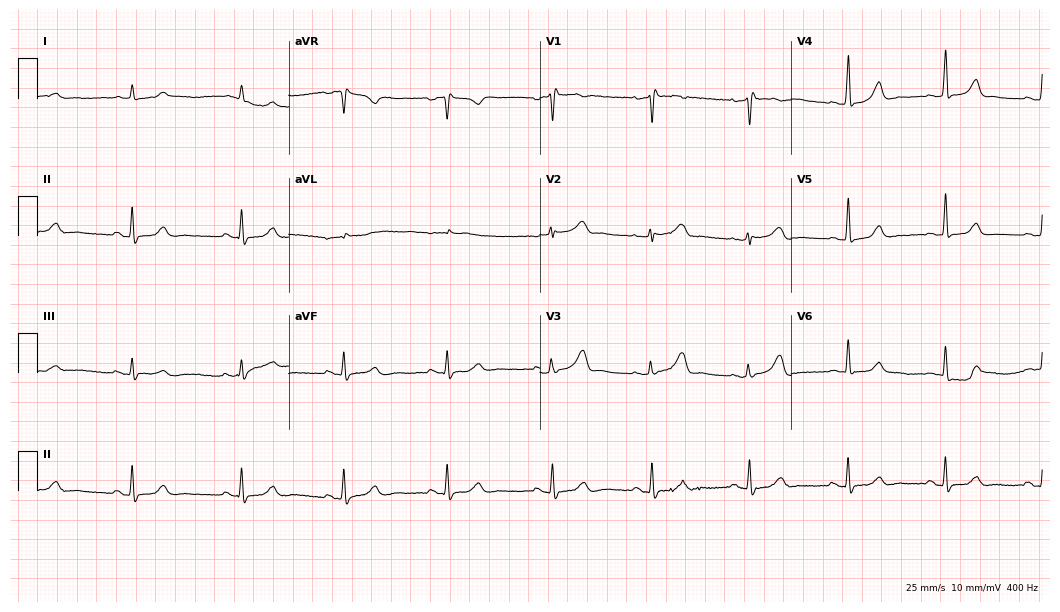
ECG (10.2-second recording at 400 Hz) — a female patient, 40 years old. Screened for six findings — first-degree AV block, right bundle branch block (RBBB), left bundle branch block (LBBB), sinus bradycardia, atrial fibrillation (AF), sinus tachycardia — none is recorded. Findings outside these six are not listed.